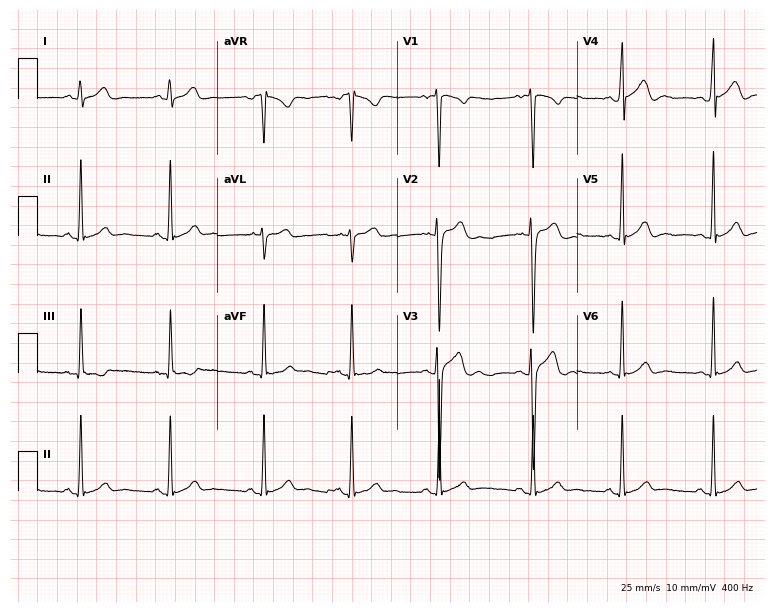
12-lead ECG from a 20-year-old man. Labelled as a normal ECG.